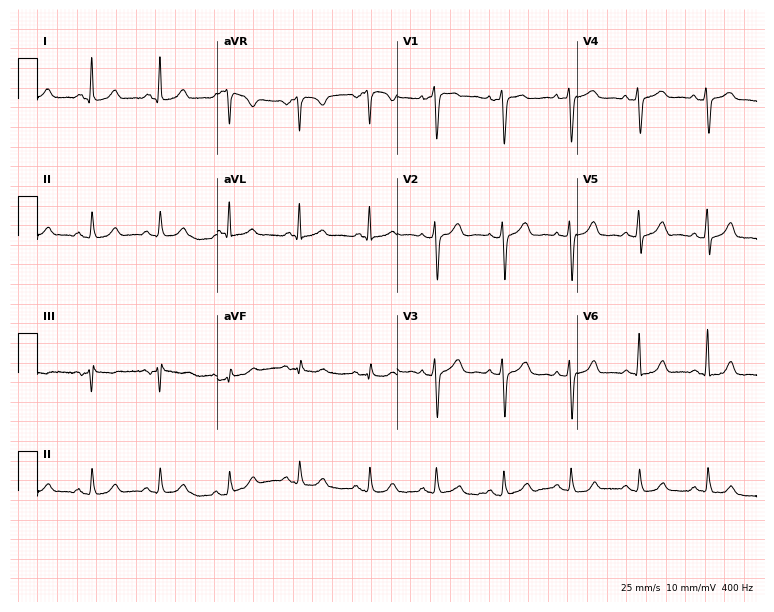
Resting 12-lead electrocardiogram (7.3-second recording at 400 Hz). Patient: a woman, 52 years old. Read as a normal ECG.